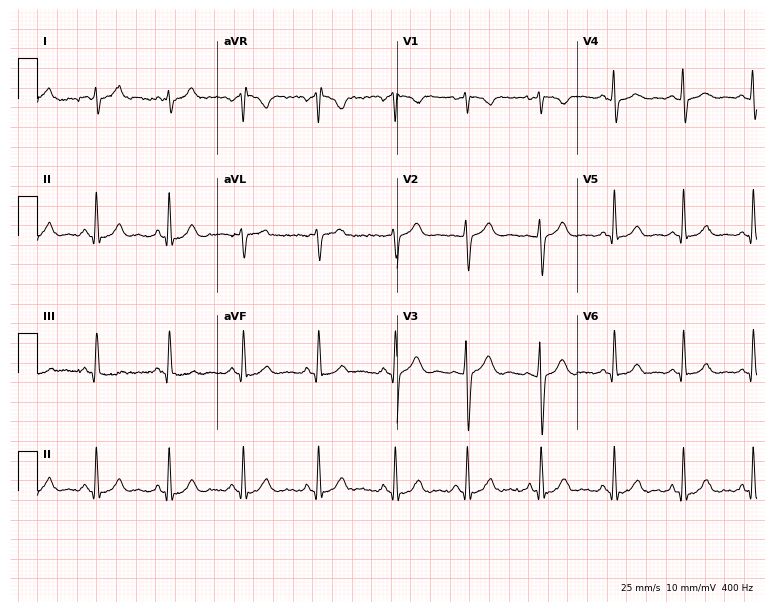
Electrocardiogram (7.3-second recording at 400 Hz), a woman, 45 years old. Overall reading on record: normal ECG.